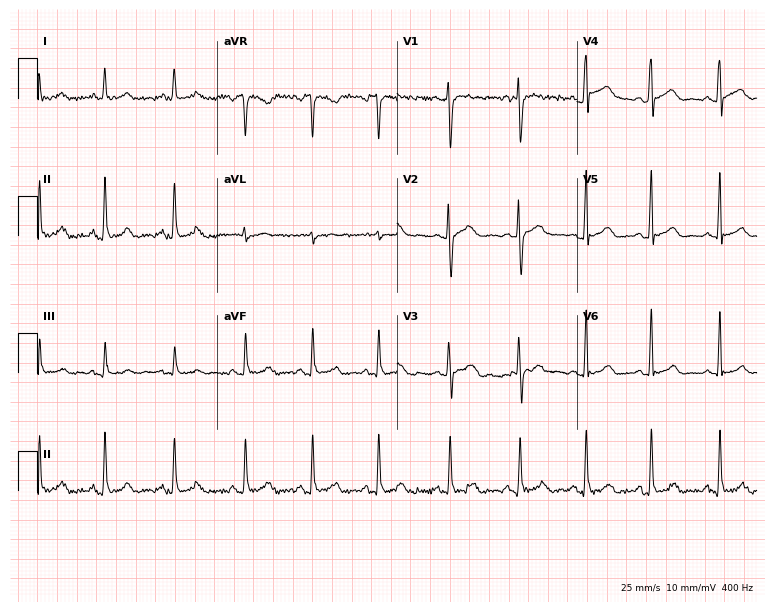
Standard 12-lead ECG recorded from a female patient, 26 years old (7.3-second recording at 400 Hz). None of these six findings is recorded: first-degree AV block, right bundle branch block, left bundle branch block, sinus bradycardia, atrial fibrillation, sinus tachycardia.